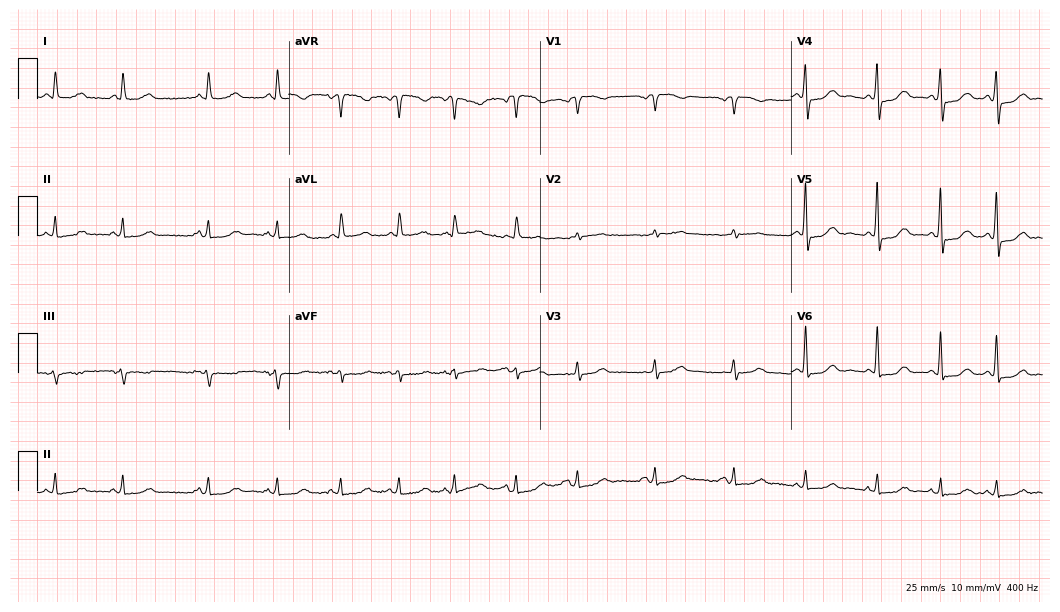
12-lead ECG from a 79-year-old woman. Screened for six findings — first-degree AV block, right bundle branch block (RBBB), left bundle branch block (LBBB), sinus bradycardia, atrial fibrillation (AF), sinus tachycardia — none is recorded.